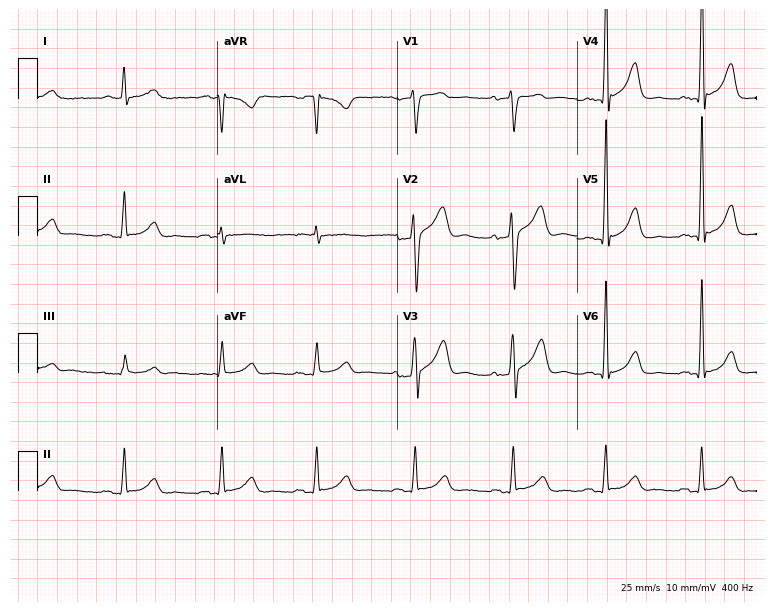
ECG — a 59-year-old male. Screened for six findings — first-degree AV block, right bundle branch block, left bundle branch block, sinus bradycardia, atrial fibrillation, sinus tachycardia — none is recorded.